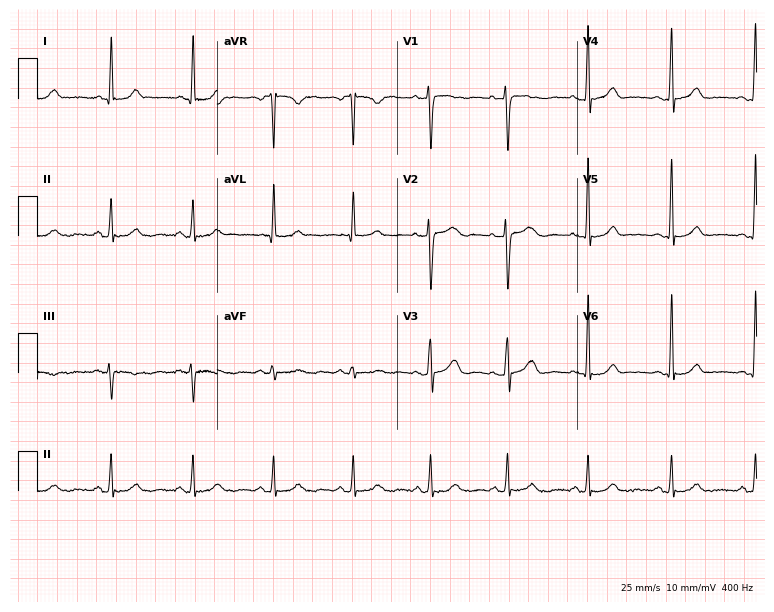
12-lead ECG (7.3-second recording at 400 Hz) from a female, 42 years old. Labelled as a normal ECG.